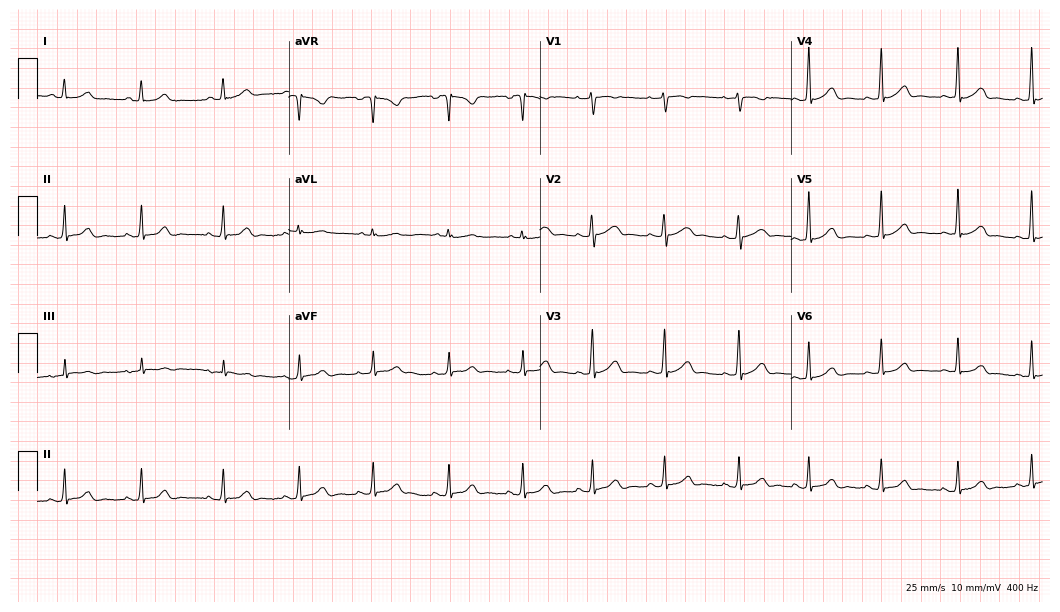
Resting 12-lead electrocardiogram. Patient: a female, 19 years old. Read as a normal ECG.